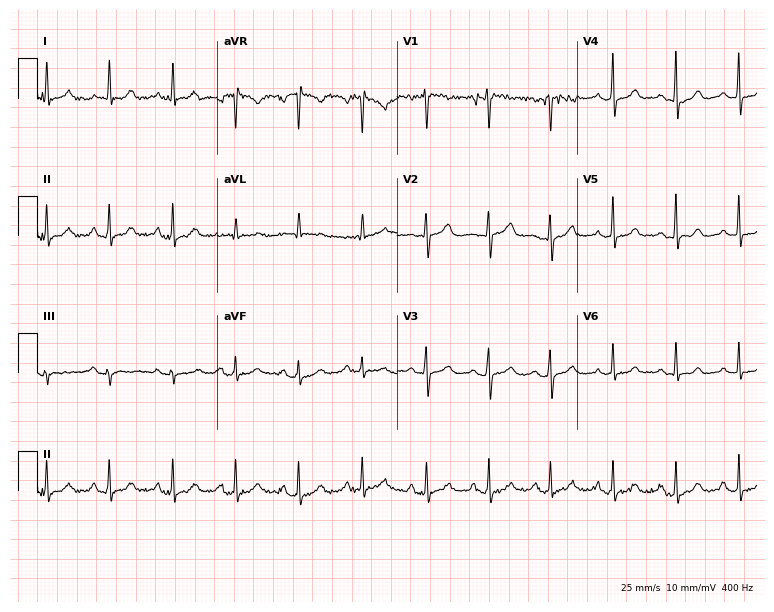
12-lead ECG from a female, 54 years old. Labelled as a normal ECG.